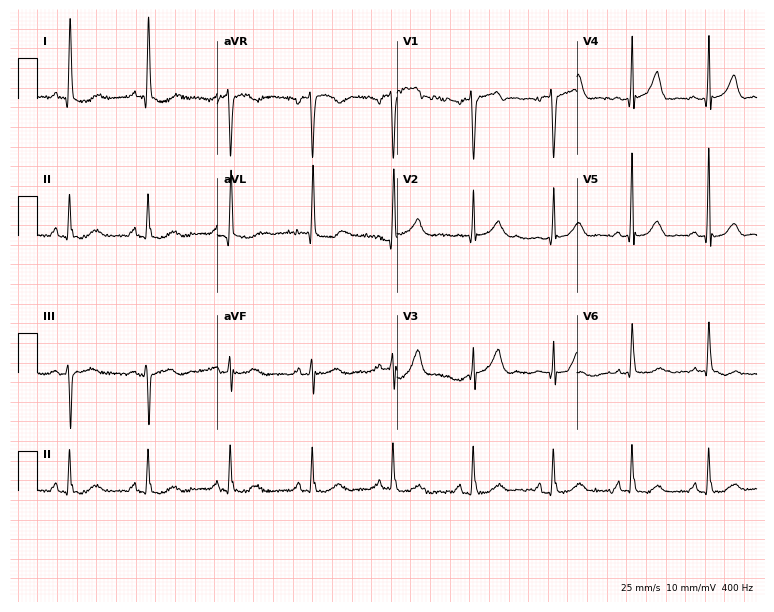
ECG — a female, 69 years old. Screened for six findings — first-degree AV block, right bundle branch block, left bundle branch block, sinus bradycardia, atrial fibrillation, sinus tachycardia — none is recorded. Findings outside these six are not listed.